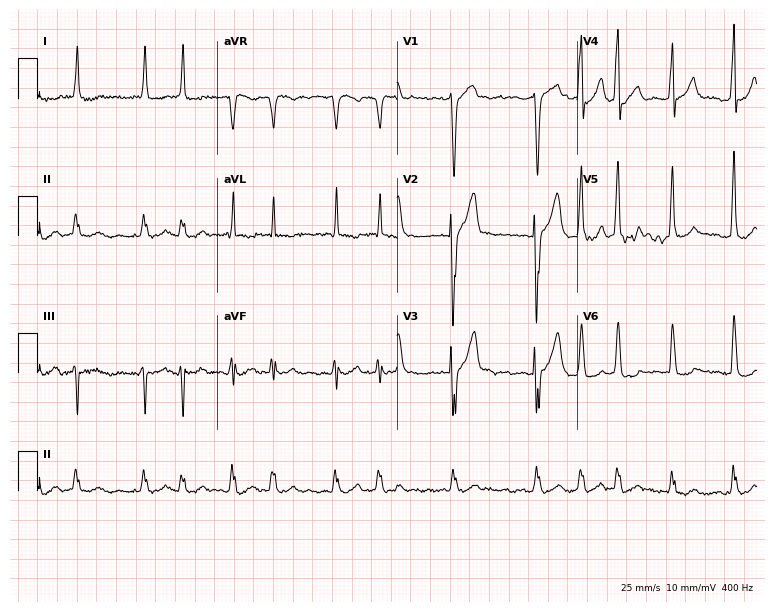
12-lead ECG from a man, 64 years old. Findings include atrial fibrillation.